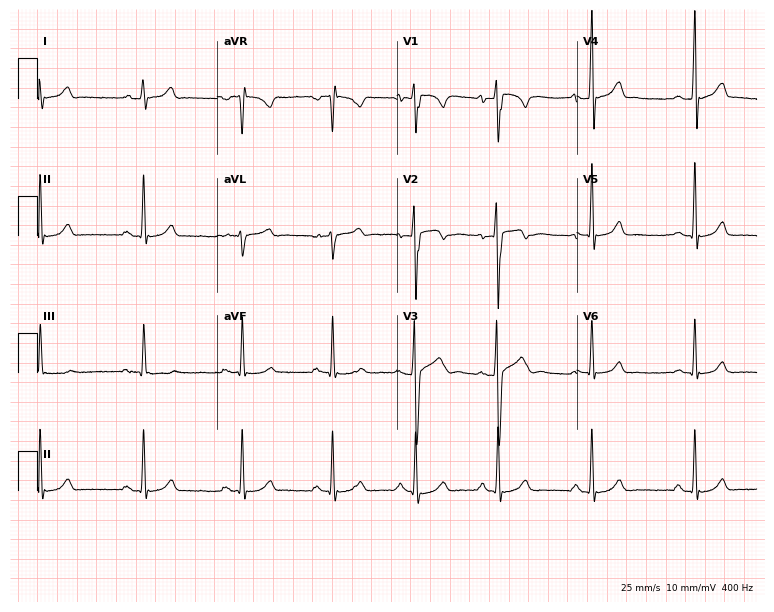
ECG — a 24-year-old male. Labelled as a normal ECG.